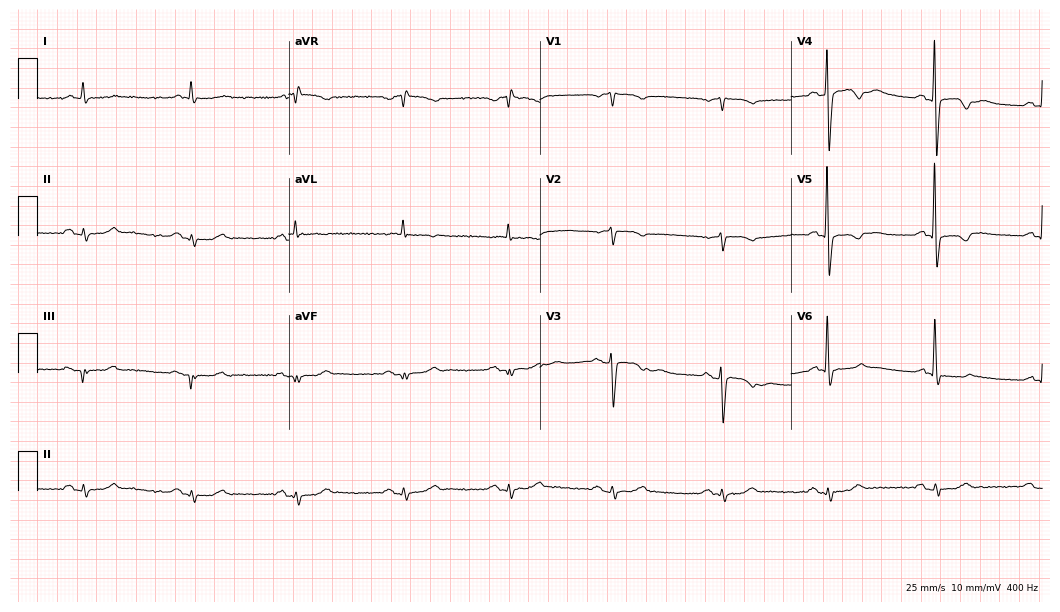
ECG — a 78-year-old woman. Screened for six findings — first-degree AV block, right bundle branch block (RBBB), left bundle branch block (LBBB), sinus bradycardia, atrial fibrillation (AF), sinus tachycardia — none is recorded.